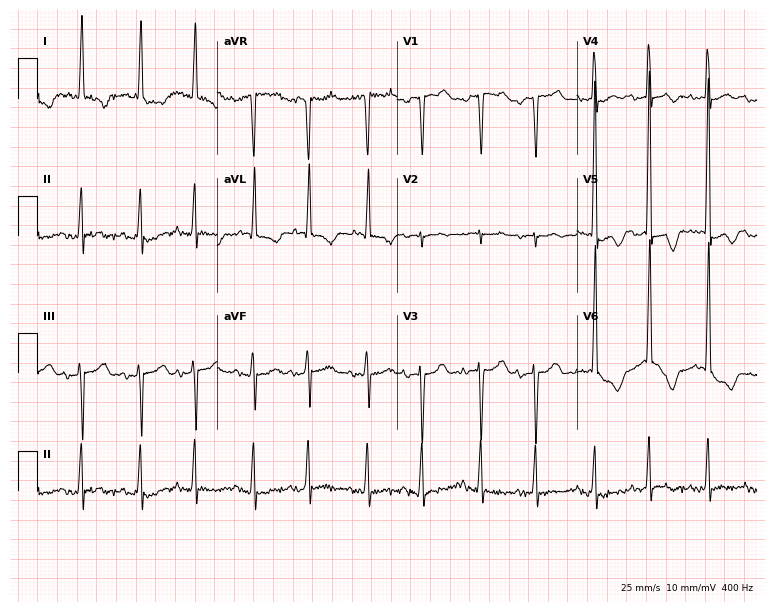
12-lead ECG from a female patient, 76 years old. No first-degree AV block, right bundle branch block (RBBB), left bundle branch block (LBBB), sinus bradycardia, atrial fibrillation (AF) or sinus tachycardia recorded for this tracing. Only these six findings were labelled.